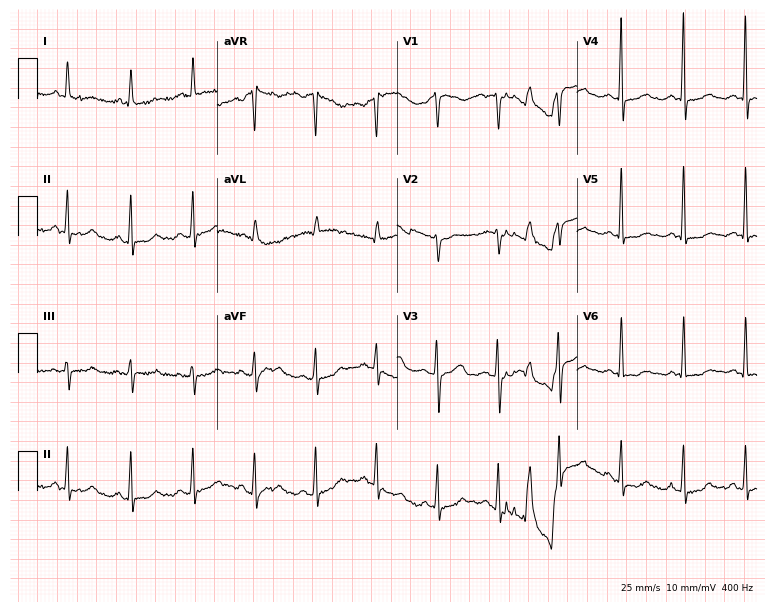
Resting 12-lead electrocardiogram (7.3-second recording at 400 Hz). Patient: a woman, 50 years old. None of these six findings is recorded: first-degree AV block, right bundle branch block (RBBB), left bundle branch block (LBBB), sinus bradycardia, atrial fibrillation (AF), sinus tachycardia.